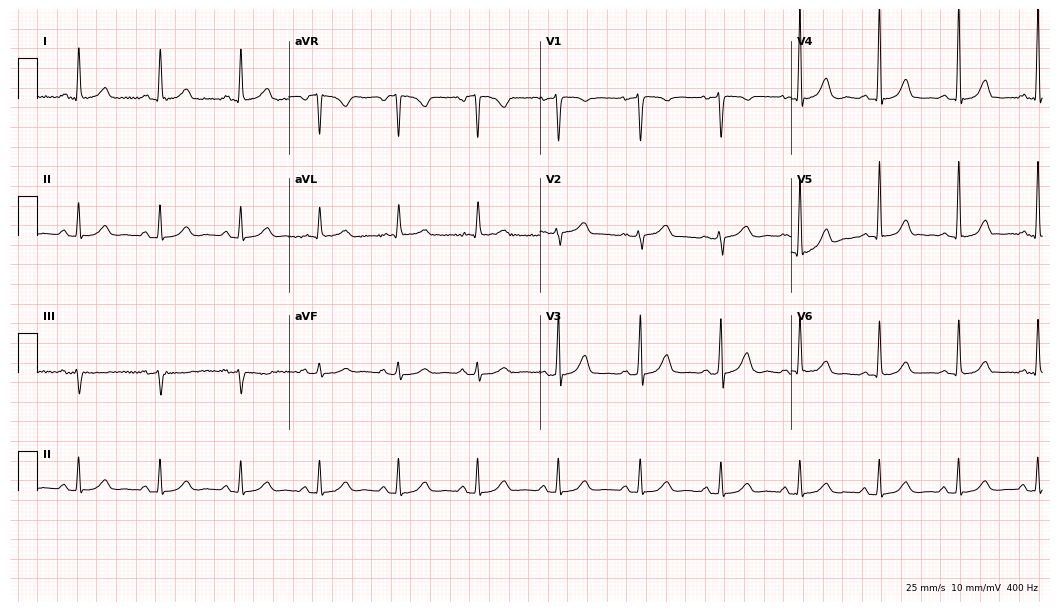
12-lead ECG from a woman, 52 years old. No first-degree AV block, right bundle branch block, left bundle branch block, sinus bradycardia, atrial fibrillation or sinus tachycardia recorded for this tracing. Findings outside these six are not listed.